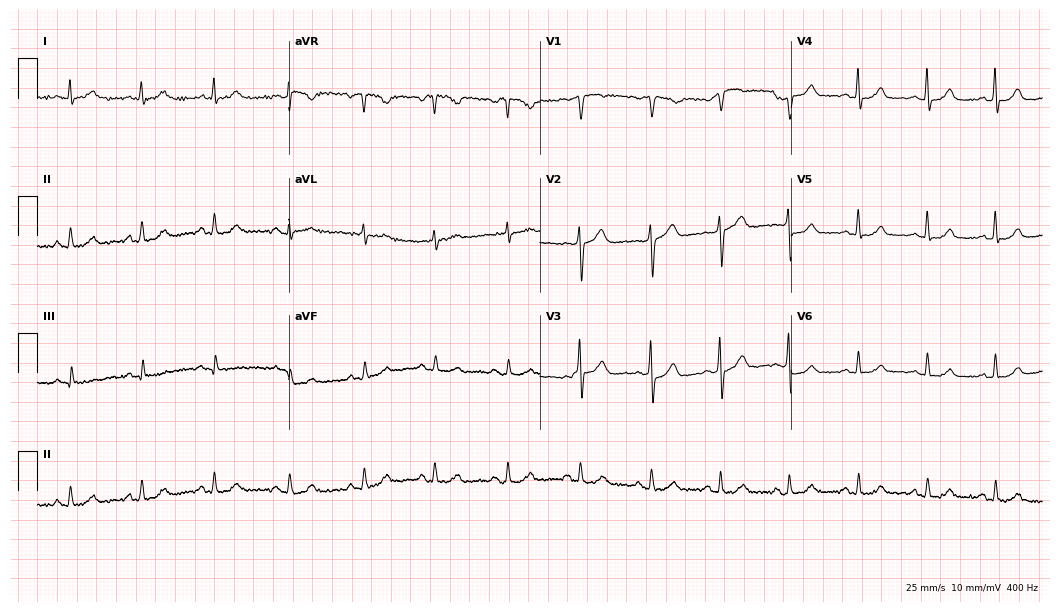
Standard 12-lead ECG recorded from a male patient, 59 years old. Read as a normal ECG.